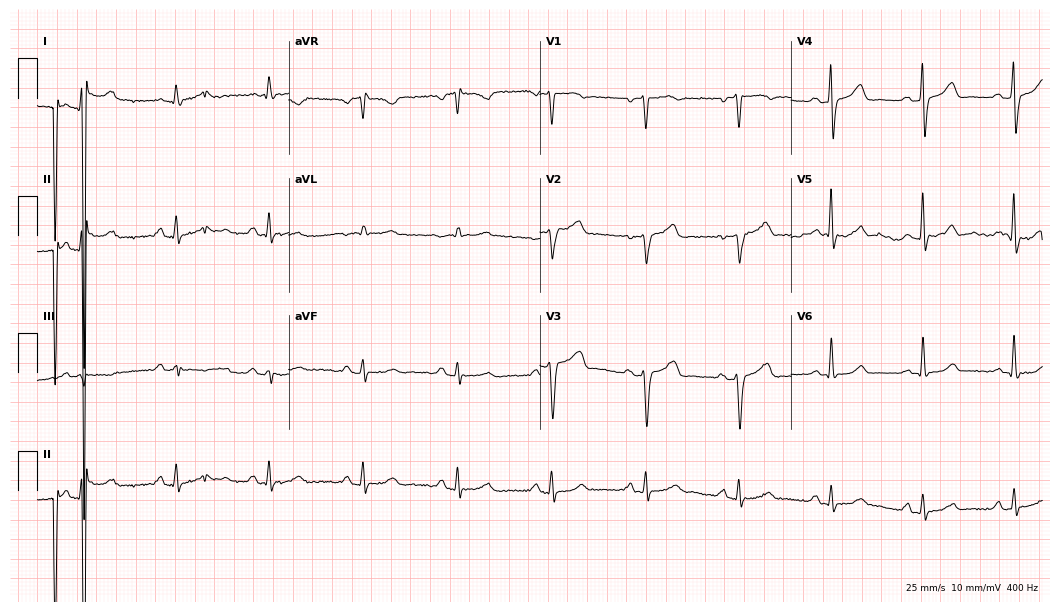
Standard 12-lead ECG recorded from a 63-year-old man. Read as a normal ECG.